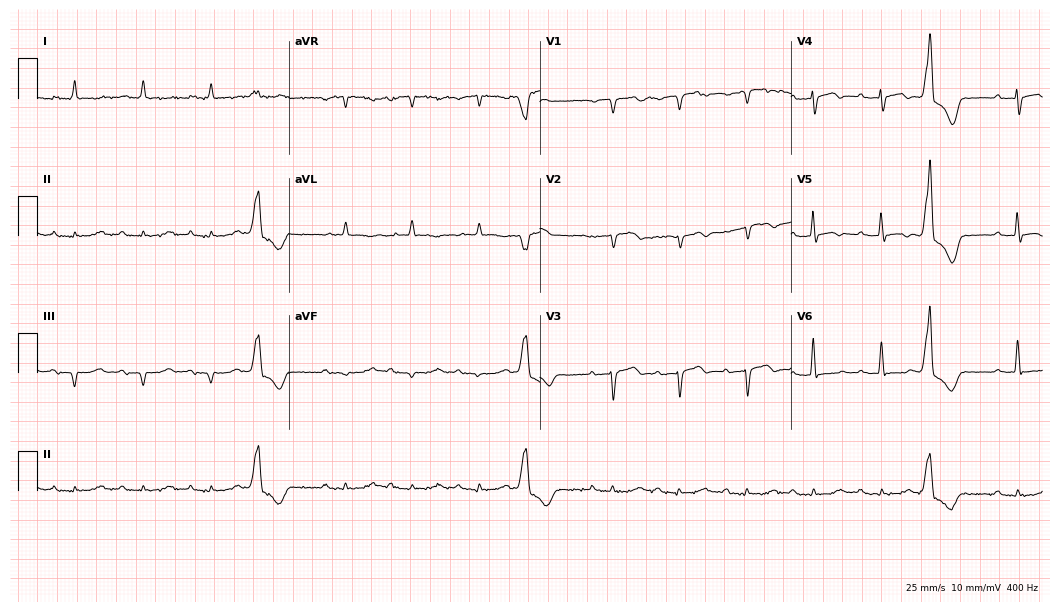
Resting 12-lead electrocardiogram. Patient: an 84-year-old man. None of these six findings is recorded: first-degree AV block, right bundle branch block, left bundle branch block, sinus bradycardia, atrial fibrillation, sinus tachycardia. Findings outside these six are not listed.